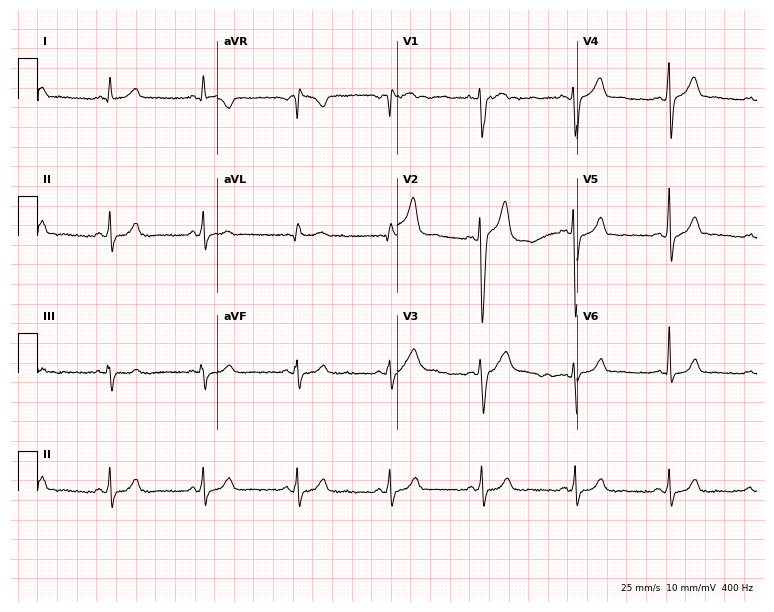
12-lead ECG from a 40-year-old male patient (7.3-second recording at 400 Hz). Recorded interpretation: within normal limits.